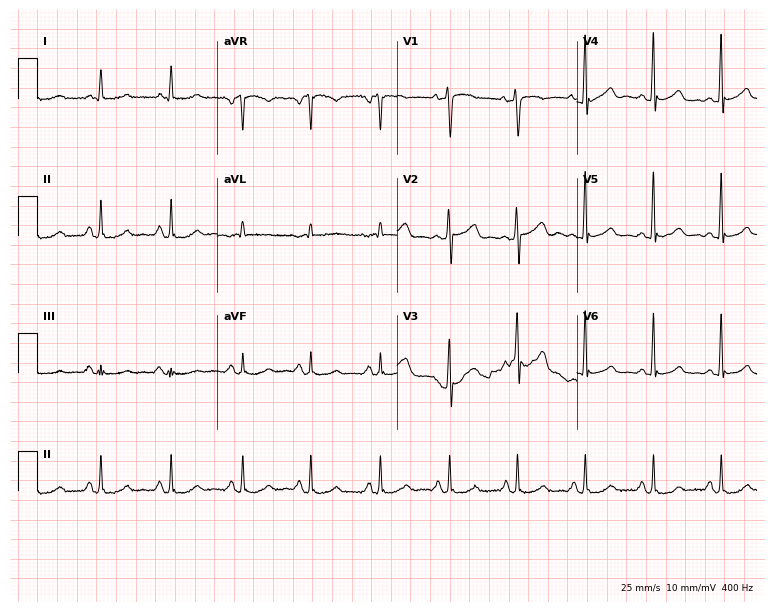
ECG (7.3-second recording at 400 Hz) — a 61-year-old male. Labelled as a normal ECG.